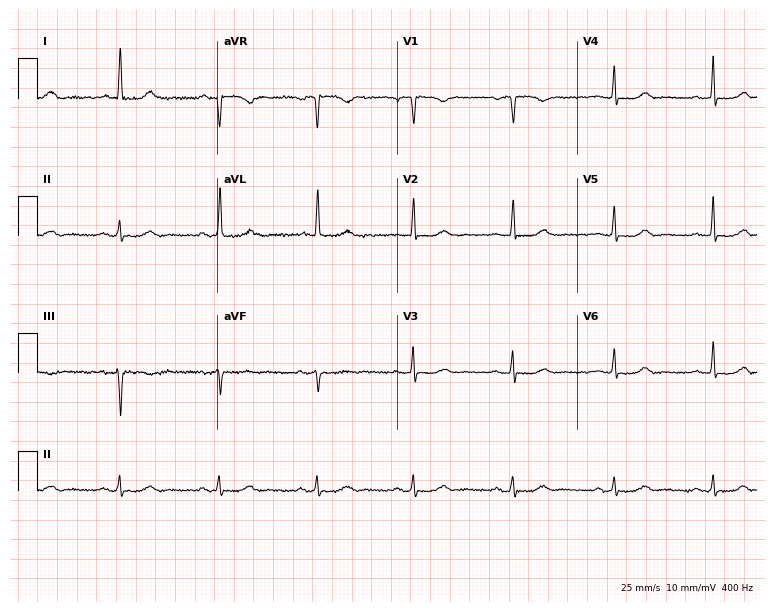
Resting 12-lead electrocardiogram (7.3-second recording at 400 Hz). Patient: a female, 75 years old. Read as a normal ECG.